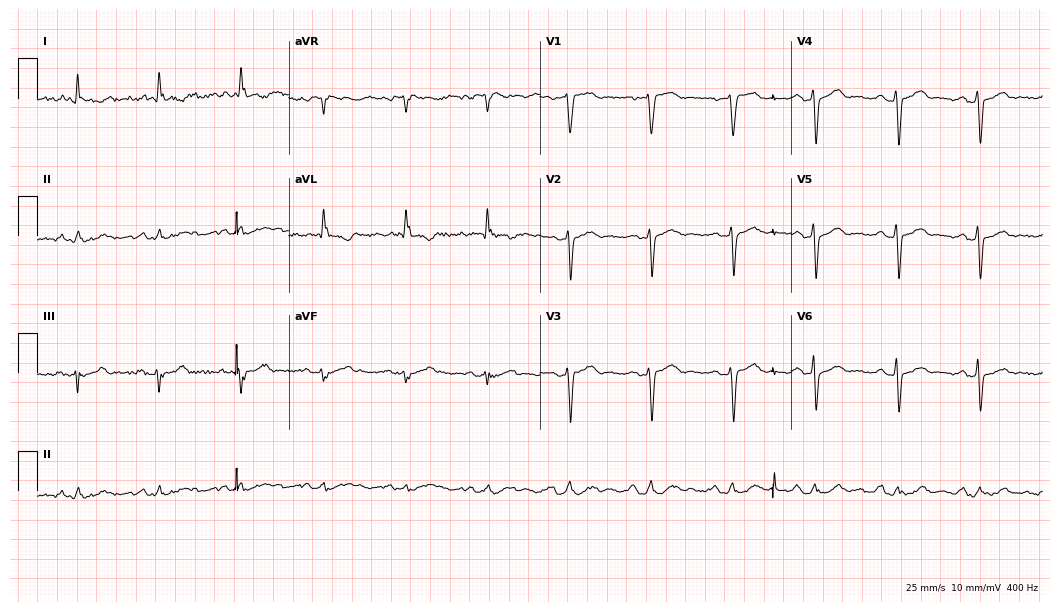
12-lead ECG from a 77-year-old man. Screened for six findings — first-degree AV block, right bundle branch block, left bundle branch block, sinus bradycardia, atrial fibrillation, sinus tachycardia — none is recorded. Only these six findings were labelled.